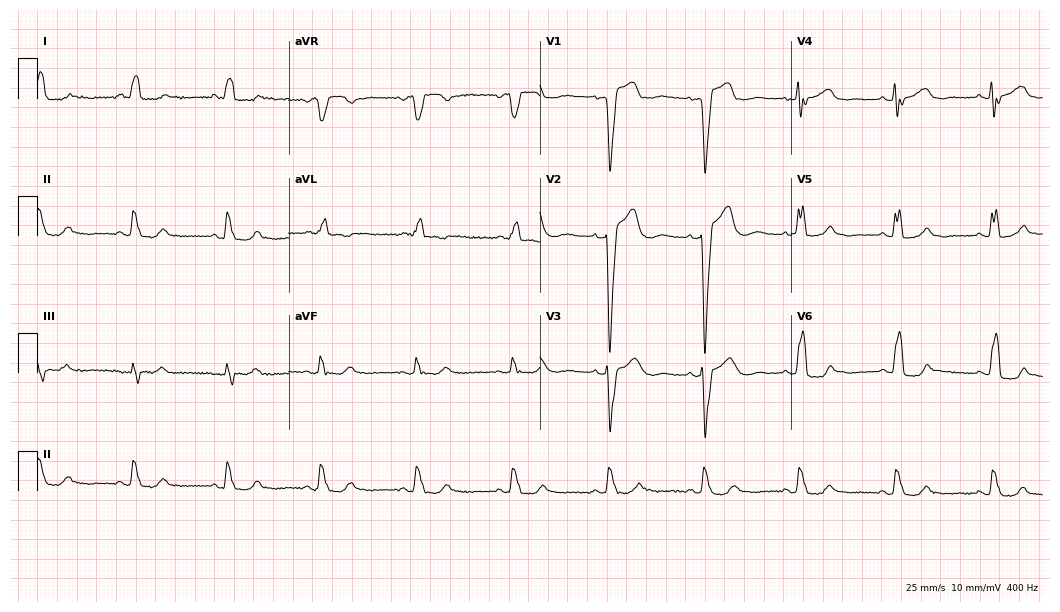
Standard 12-lead ECG recorded from a female, 68 years old (10.2-second recording at 400 Hz). The tracing shows left bundle branch block.